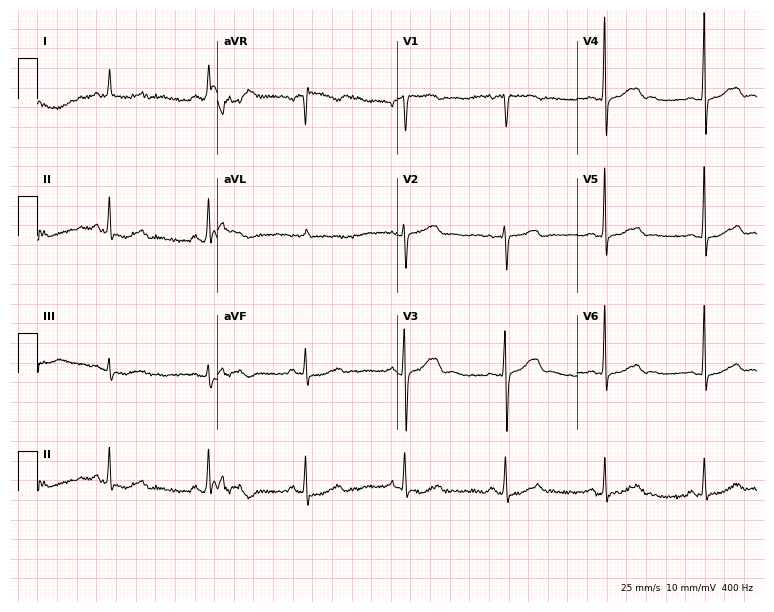
12-lead ECG from a woman, 62 years old (7.3-second recording at 400 Hz). No first-degree AV block, right bundle branch block (RBBB), left bundle branch block (LBBB), sinus bradycardia, atrial fibrillation (AF) or sinus tachycardia recorded for this tracing.